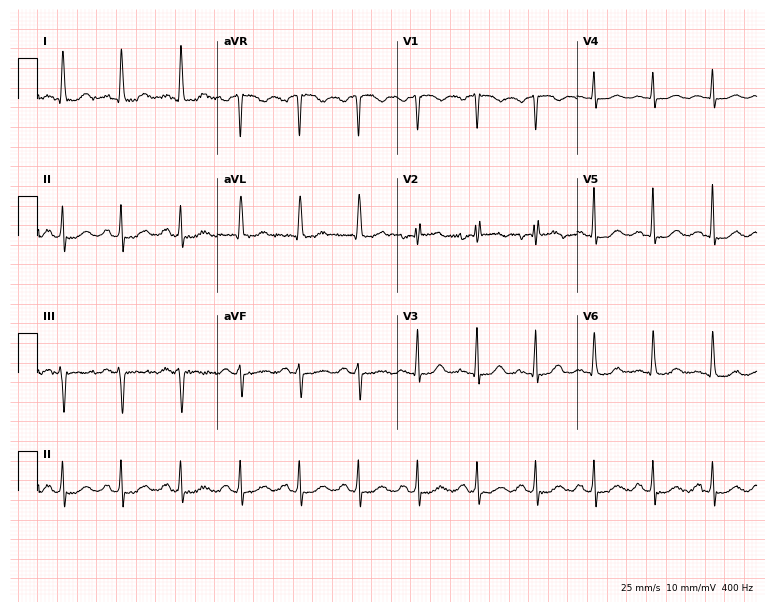
12-lead ECG from a female, 71 years old (7.3-second recording at 400 Hz). No first-degree AV block, right bundle branch block, left bundle branch block, sinus bradycardia, atrial fibrillation or sinus tachycardia recorded for this tracing.